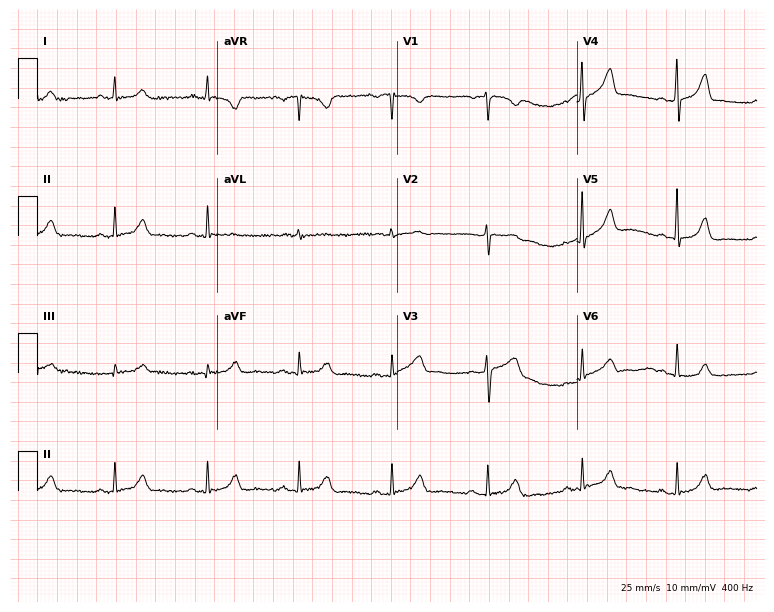
Electrocardiogram (7.3-second recording at 400 Hz), a female, 66 years old. Overall reading on record: normal ECG.